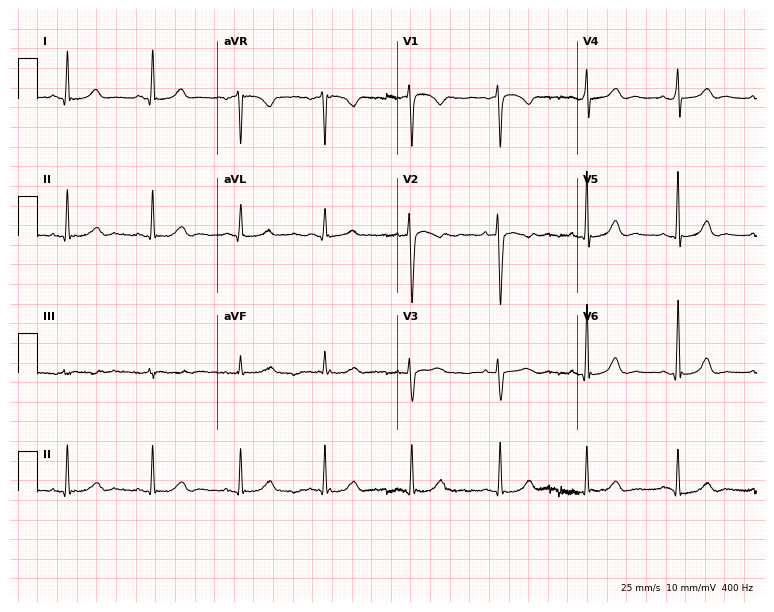
12-lead ECG (7.3-second recording at 400 Hz) from a female patient, 54 years old. Labelled as a normal ECG.